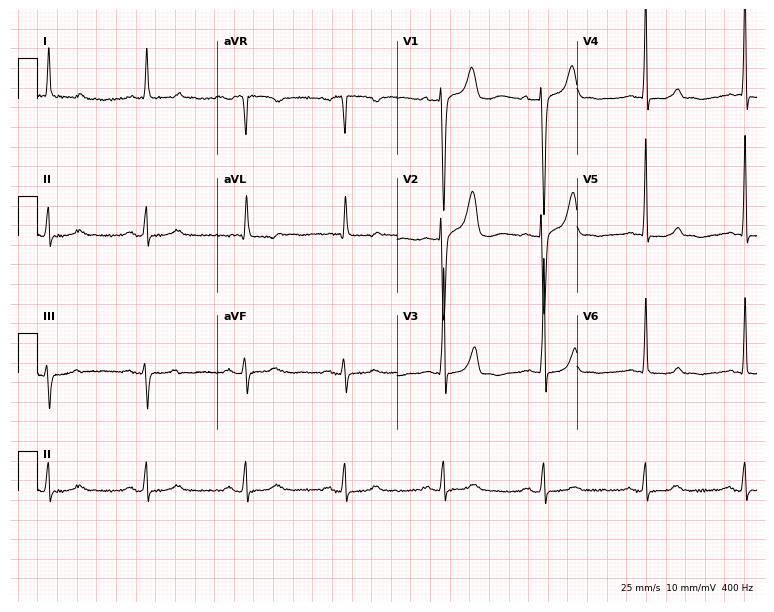
Standard 12-lead ECG recorded from a female, 73 years old (7.3-second recording at 400 Hz). None of these six findings is recorded: first-degree AV block, right bundle branch block, left bundle branch block, sinus bradycardia, atrial fibrillation, sinus tachycardia. Findings outside these six are not listed.